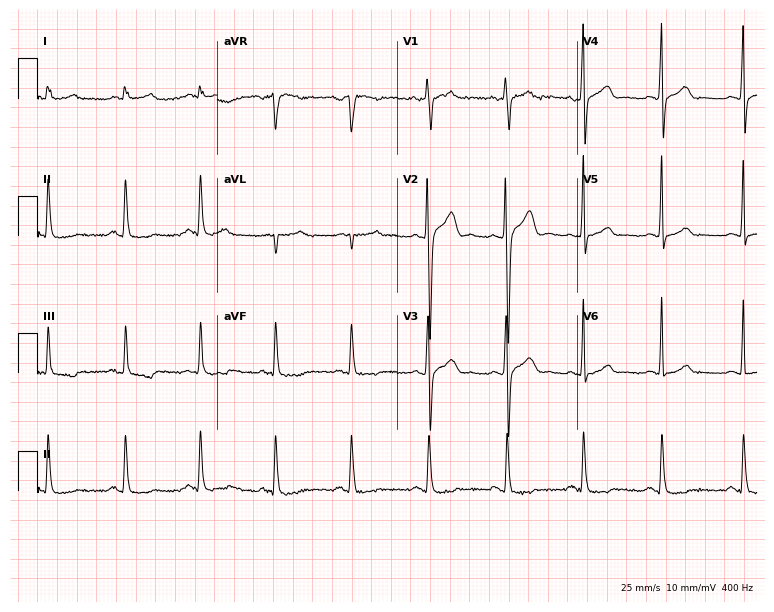
Electrocardiogram, a male, 23 years old. Of the six screened findings (first-degree AV block, right bundle branch block, left bundle branch block, sinus bradycardia, atrial fibrillation, sinus tachycardia), none is recorded.